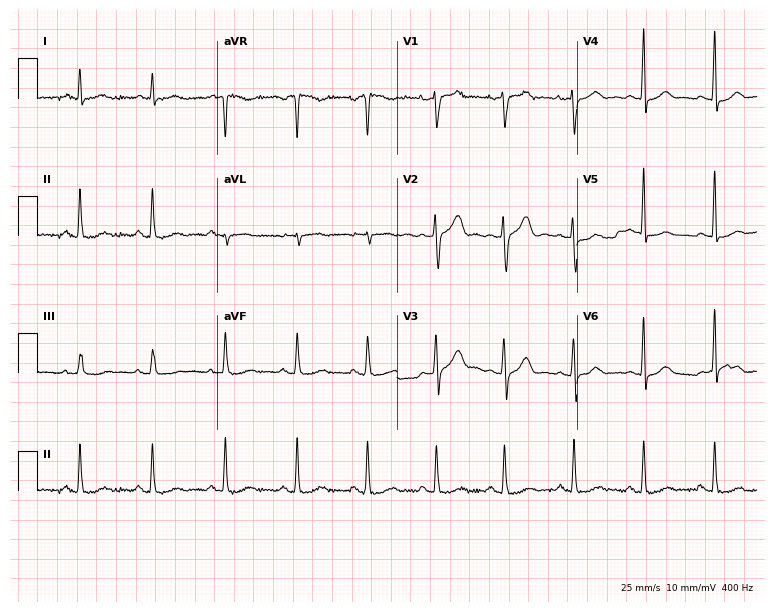
12-lead ECG from a male, 68 years old. No first-degree AV block, right bundle branch block, left bundle branch block, sinus bradycardia, atrial fibrillation or sinus tachycardia recorded for this tracing.